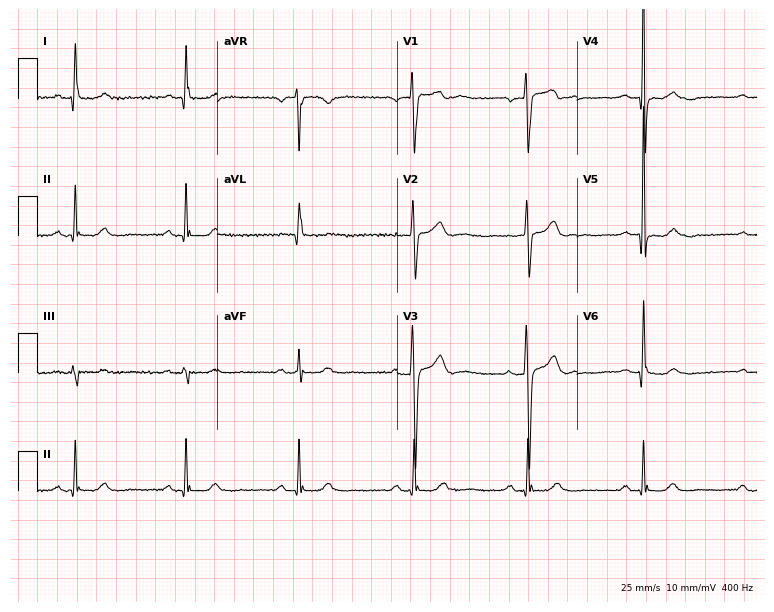
Standard 12-lead ECG recorded from a man, 62 years old (7.3-second recording at 400 Hz). Read as a normal ECG.